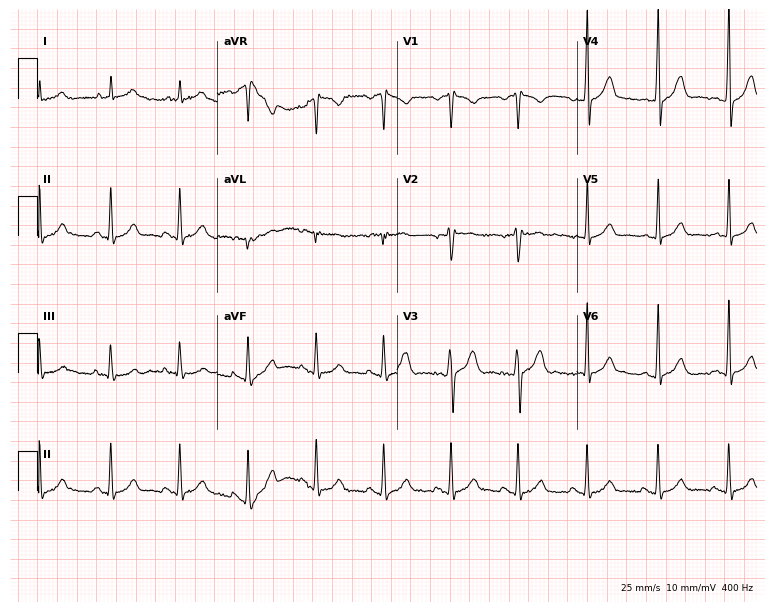
Electrocardiogram, a 37-year-old male patient. Of the six screened findings (first-degree AV block, right bundle branch block (RBBB), left bundle branch block (LBBB), sinus bradycardia, atrial fibrillation (AF), sinus tachycardia), none is recorded.